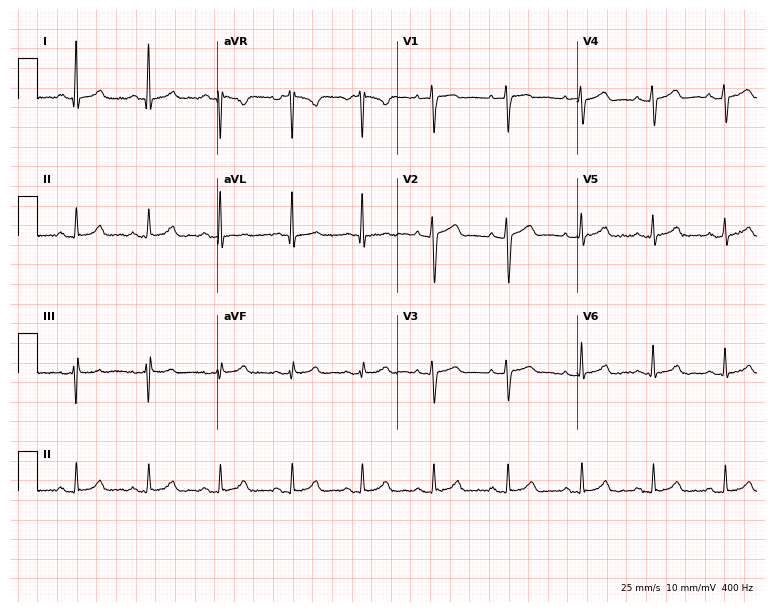
Resting 12-lead electrocardiogram. Patient: a woman, 35 years old. Read as a normal ECG.